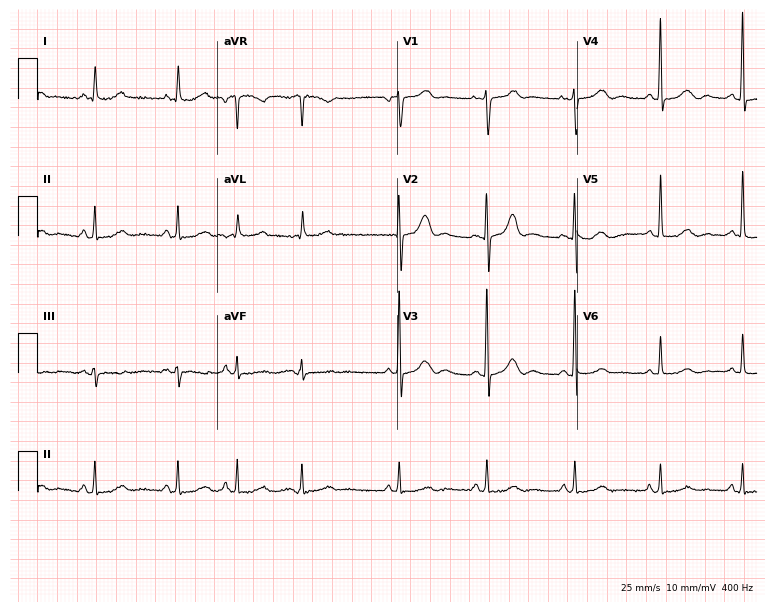
12-lead ECG from an 81-year-old female patient. No first-degree AV block, right bundle branch block, left bundle branch block, sinus bradycardia, atrial fibrillation or sinus tachycardia recorded for this tracing. Only these six findings were labelled.